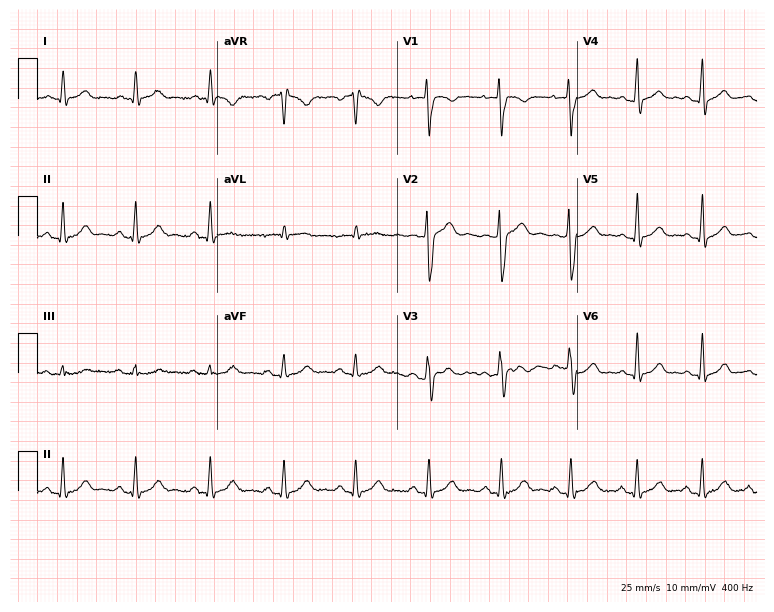
12-lead ECG from a male, 25 years old. No first-degree AV block, right bundle branch block, left bundle branch block, sinus bradycardia, atrial fibrillation or sinus tachycardia recorded for this tracing. Only these six findings were labelled.